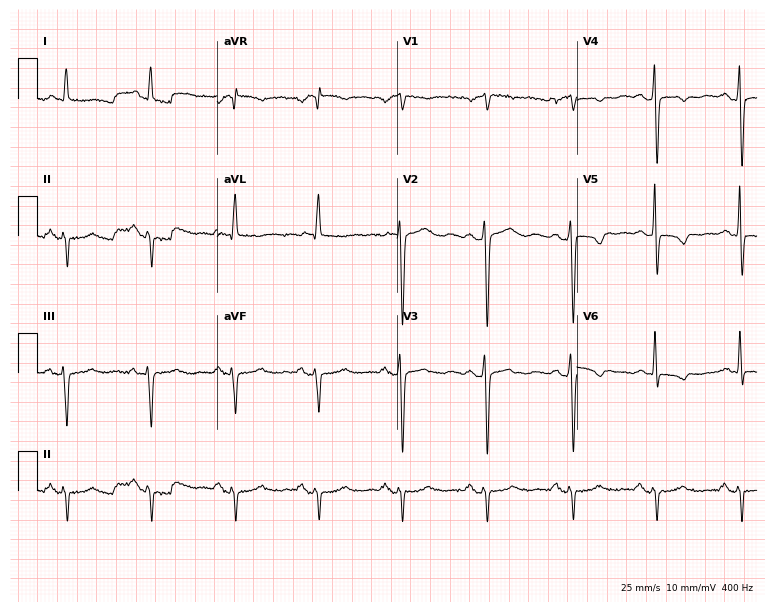
Resting 12-lead electrocardiogram. Patient: a male, 75 years old. None of these six findings is recorded: first-degree AV block, right bundle branch block, left bundle branch block, sinus bradycardia, atrial fibrillation, sinus tachycardia. Findings outside these six are not listed.